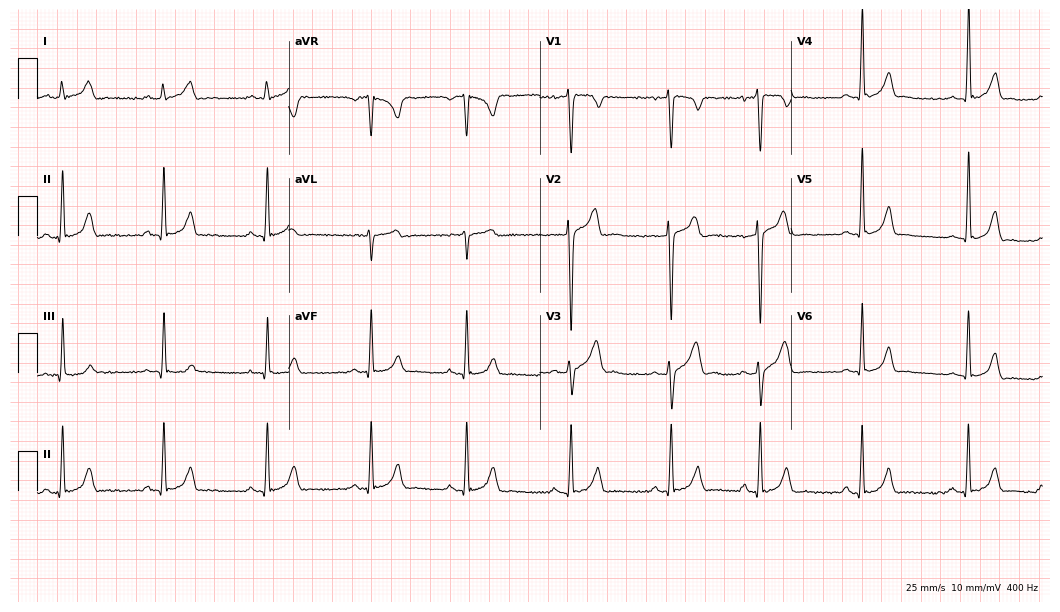
Standard 12-lead ECG recorded from a female patient, 17 years old (10.2-second recording at 400 Hz). Read as a normal ECG.